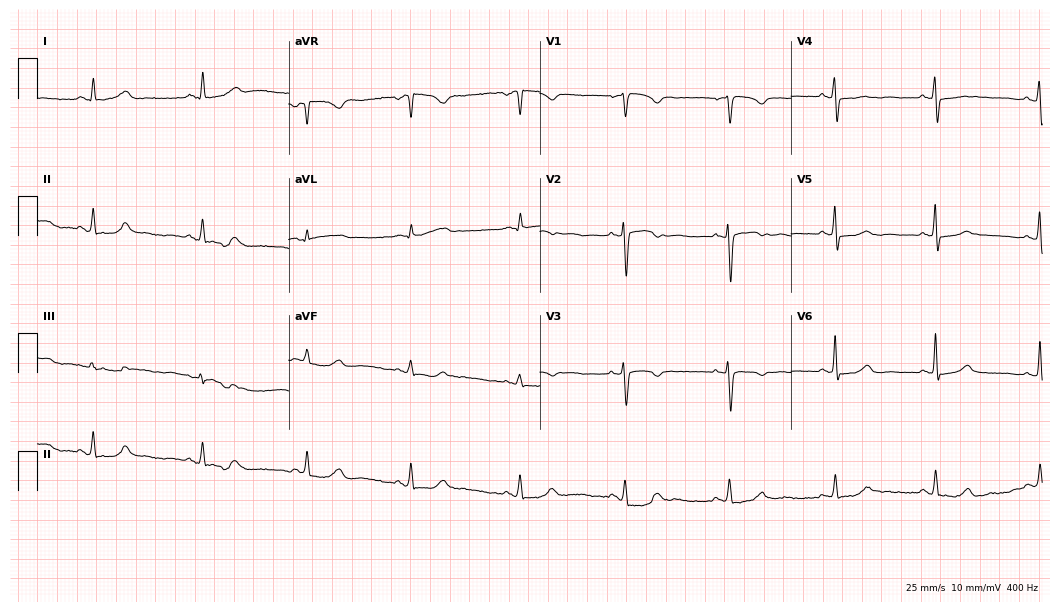
12-lead ECG from a female patient, 41 years old. Labelled as a normal ECG.